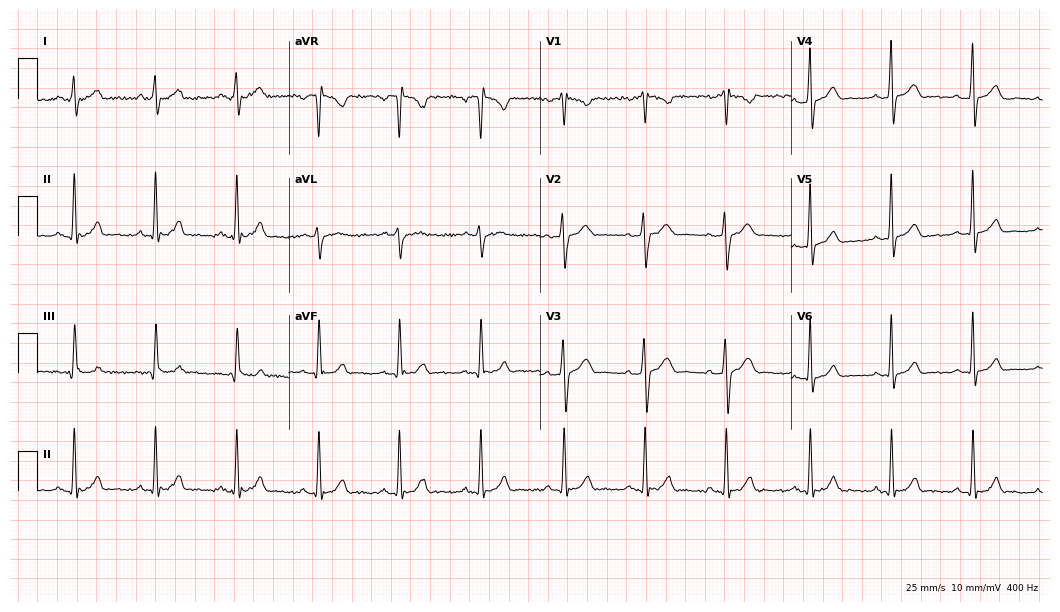
Standard 12-lead ECG recorded from a 36-year-old man. Read as a normal ECG.